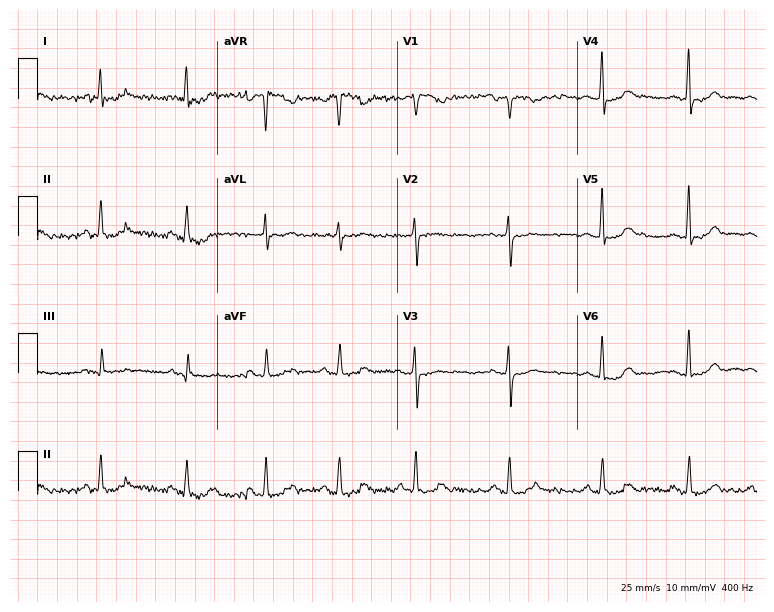
12-lead ECG (7.3-second recording at 400 Hz) from a woman, 57 years old. Screened for six findings — first-degree AV block, right bundle branch block, left bundle branch block, sinus bradycardia, atrial fibrillation, sinus tachycardia — none is recorded.